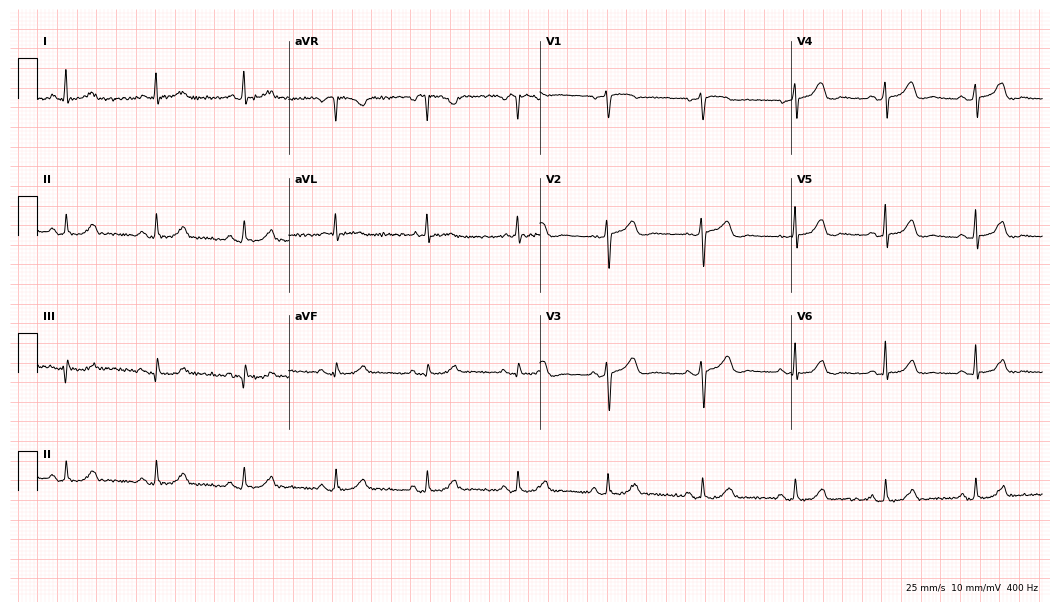
Standard 12-lead ECG recorded from a woman, 74 years old. Read as a normal ECG.